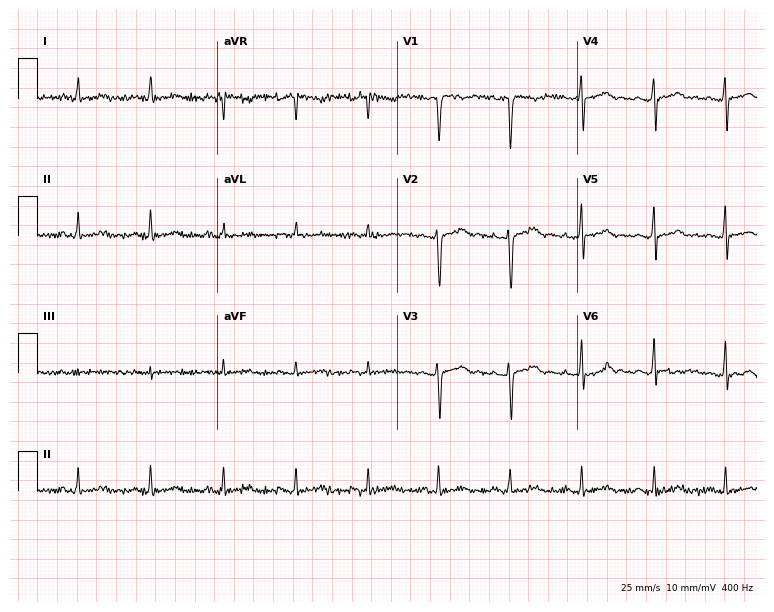
Electrocardiogram, a female patient, 34 years old. Overall reading on record: normal ECG.